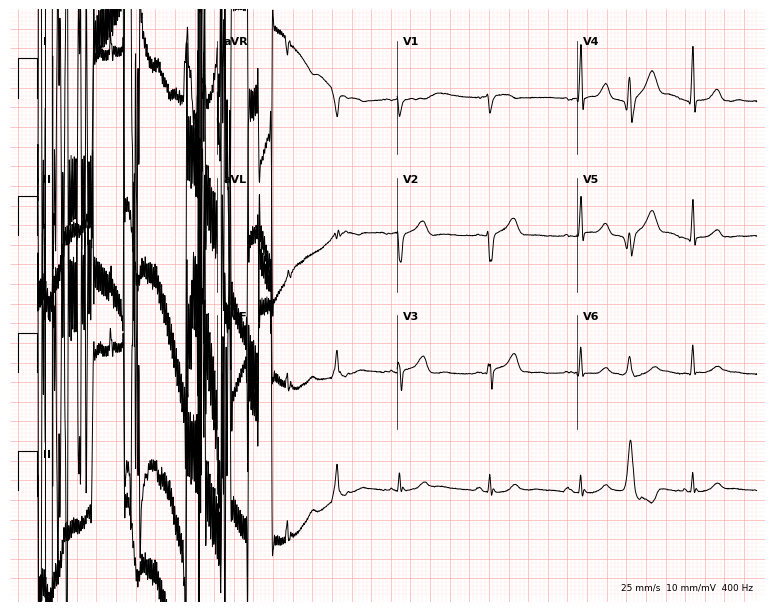
ECG — a female patient, 85 years old. Screened for six findings — first-degree AV block, right bundle branch block, left bundle branch block, sinus bradycardia, atrial fibrillation, sinus tachycardia — none is recorded.